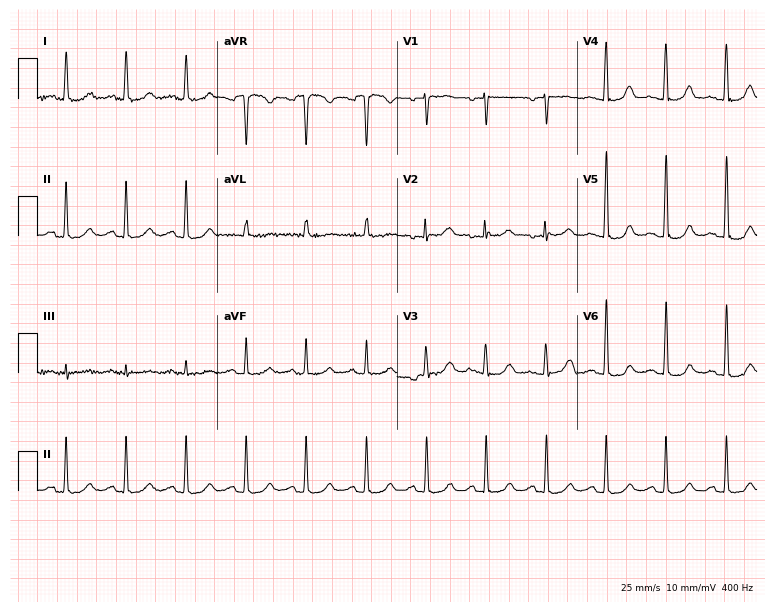
Electrocardiogram, a 54-year-old female patient. Overall reading on record: normal ECG.